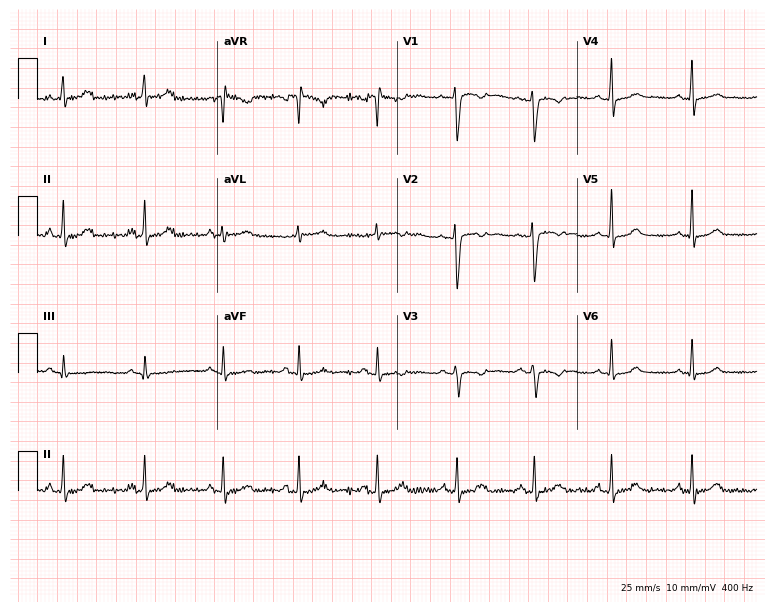
Electrocardiogram (7.3-second recording at 400 Hz), a female, 33 years old. Of the six screened findings (first-degree AV block, right bundle branch block, left bundle branch block, sinus bradycardia, atrial fibrillation, sinus tachycardia), none is recorded.